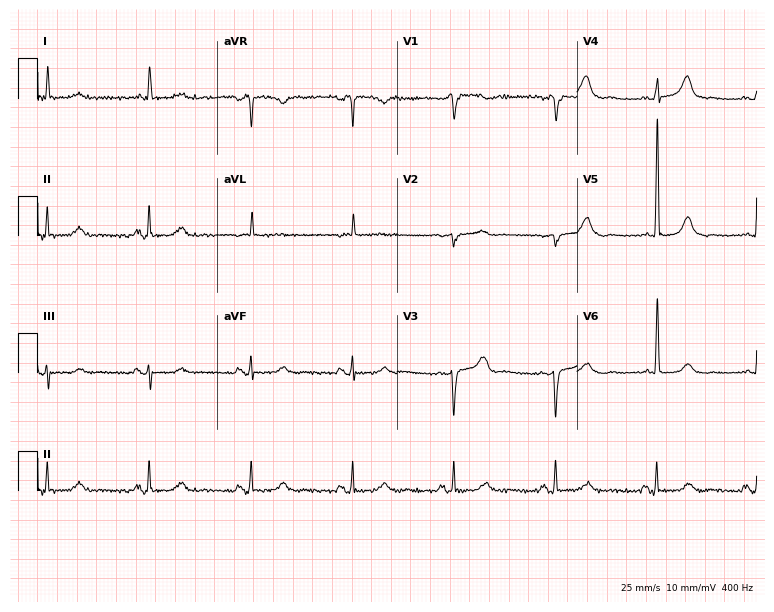
ECG — a female patient, 84 years old. Labelled as a normal ECG.